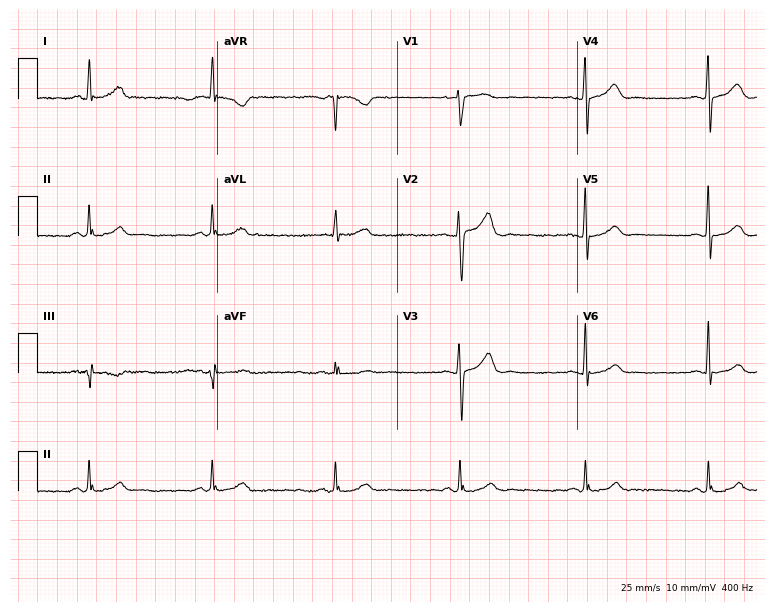
Resting 12-lead electrocardiogram (7.3-second recording at 400 Hz). Patient: a 58-year-old man. The tracing shows sinus bradycardia (a sinus rate of 50 beats per minute or less).